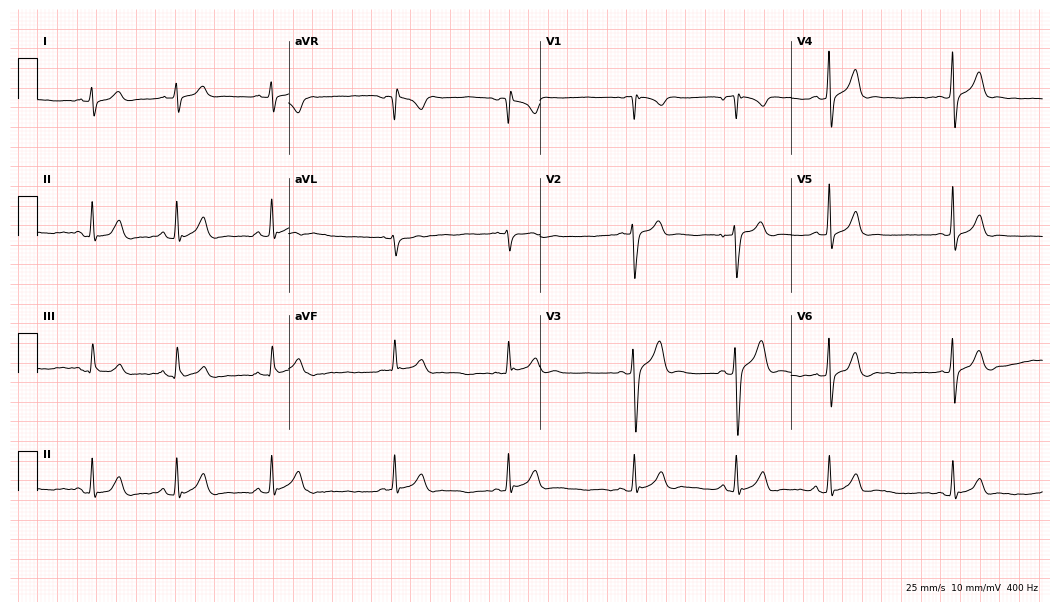
Resting 12-lead electrocardiogram. Patient: a 24-year-old male. Read as a normal ECG.